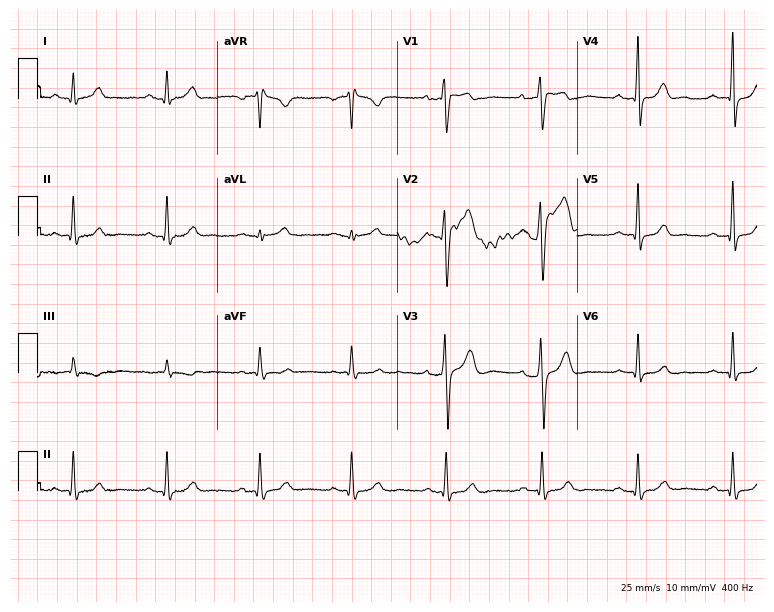
12-lead ECG (7.3-second recording at 400 Hz) from a 33-year-old man. Labelled as a normal ECG.